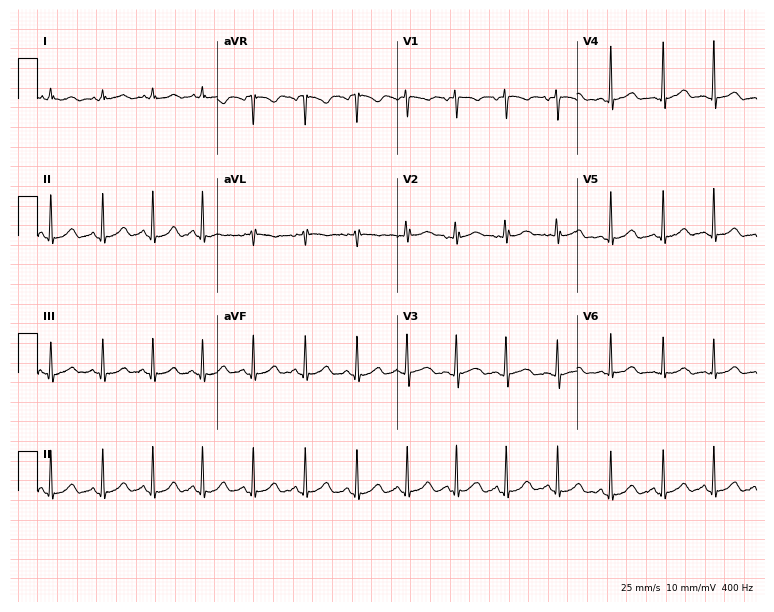
12-lead ECG (7.3-second recording at 400 Hz) from a woman, 20 years old. Screened for six findings — first-degree AV block, right bundle branch block, left bundle branch block, sinus bradycardia, atrial fibrillation, sinus tachycardia — none is recorded.